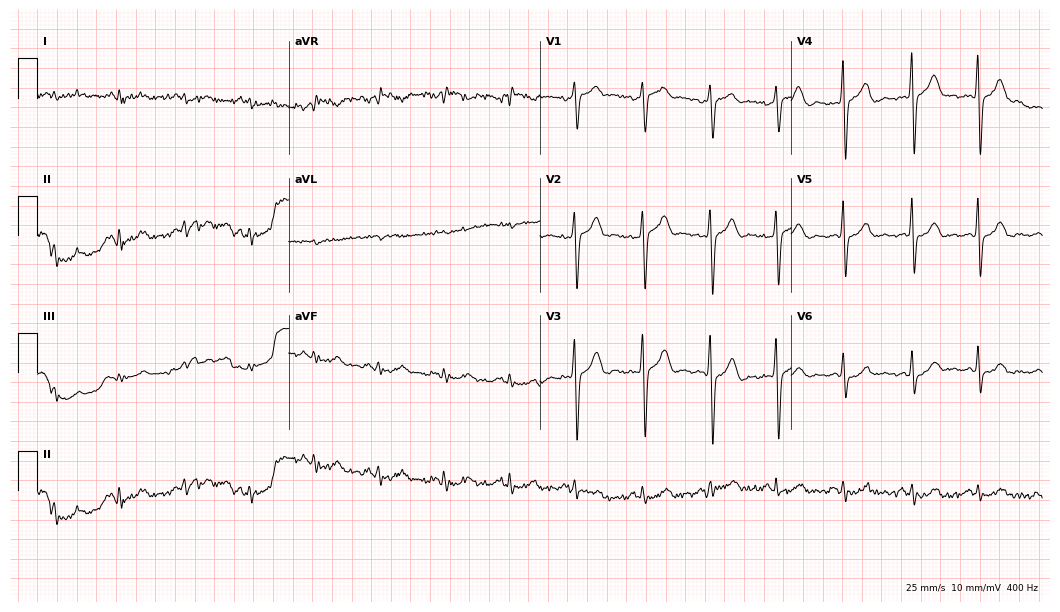
Standard 12-lead ECG recorded from a male, 79 years old. Read as a normal ECG.